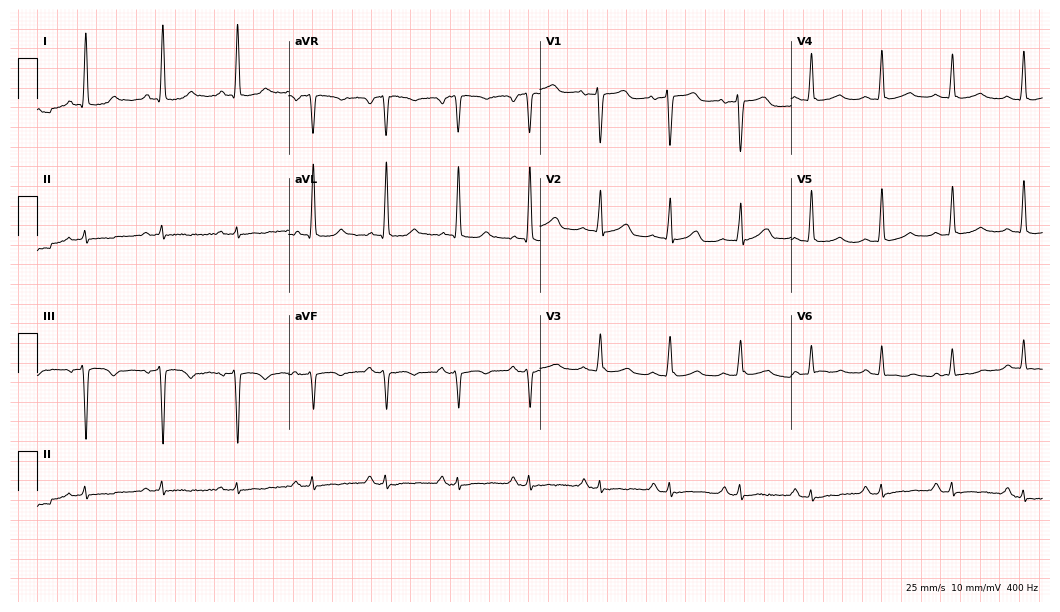
12-lead ECG from an 83-year-old woman (10.2-second recording at 400 Hz). No first-degree AV block, right bundle branch block, left bundle branch block, sinus bradycardia, atrial fibrillation or sinus tachycardia recorded for this tracing.